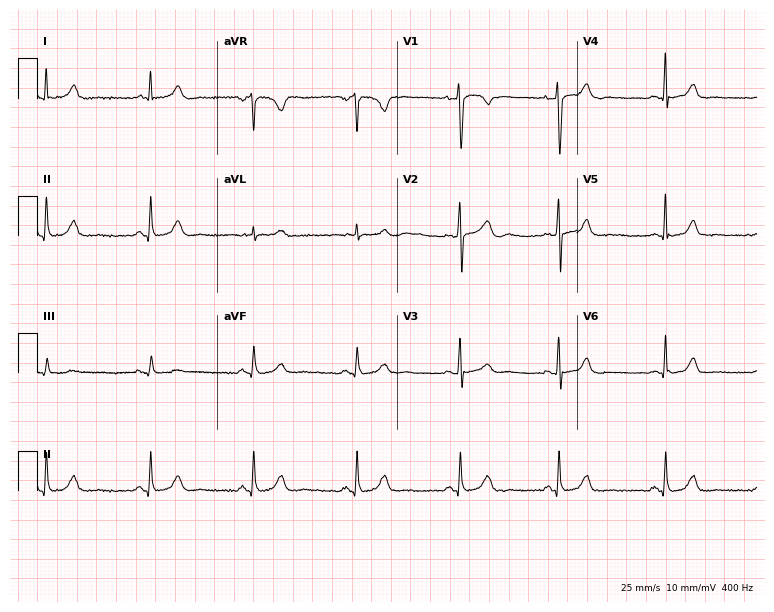
12-lead ECG from a woman, 35 years old (7.3-second recording at 400 Hz). Recorded interpretation: within normal limits.